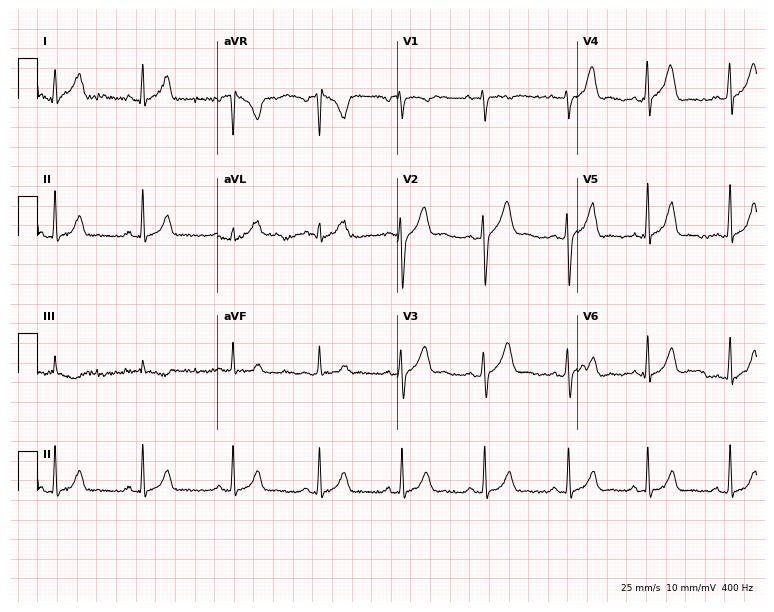
Electrocardiogram (7.3-second recording at 400 Hz), a male patient, 20 years old. Of the six screened findings (first-degree AV block, right bundle branch block, left bundle branch block, sinus bradycardia, atrial fibrillation, sinus tachycardia), none is recorded.